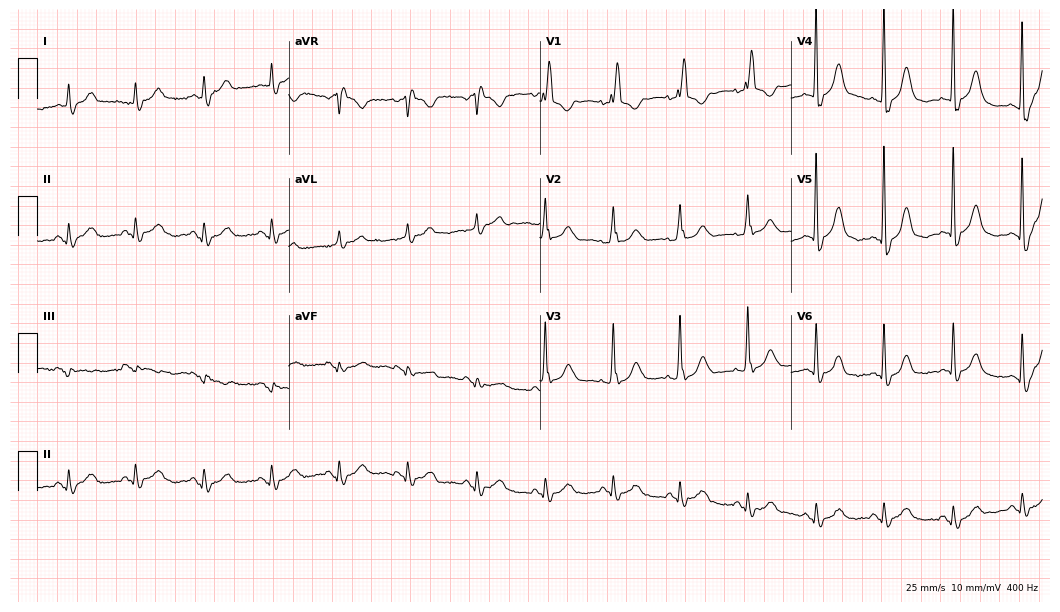
Electrocardiogram, a female, 78 years old. Interpretation includes right bundle branch block.